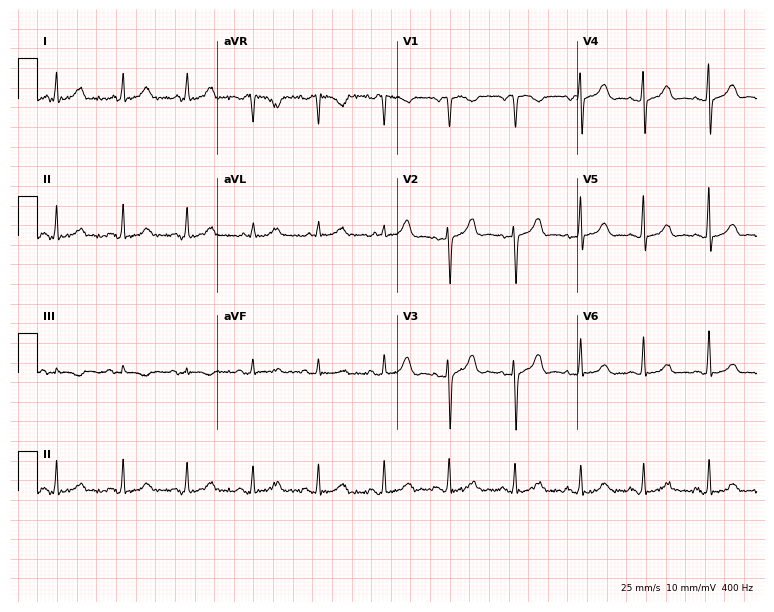
12-lead ECG from a 71-year-old female (7.3-second recording at 400 Hz). Recorded interpretation: within normal limits.